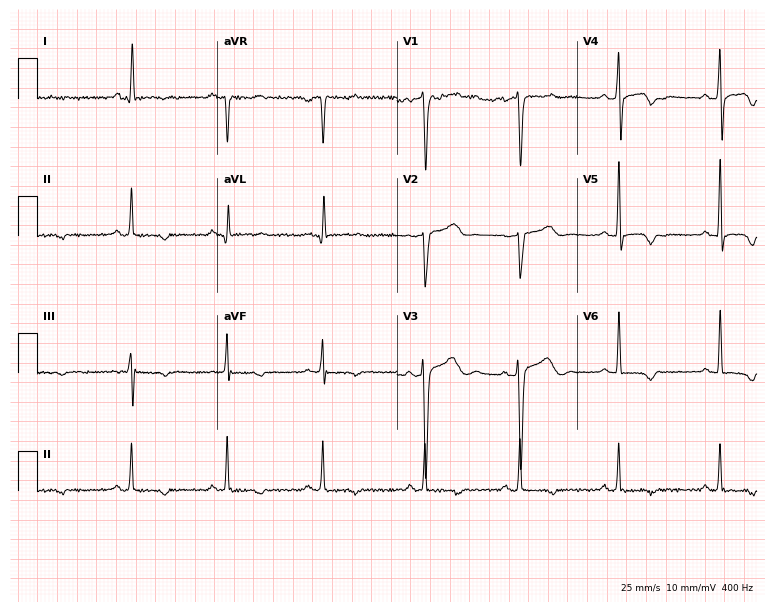
12-lead ECG from a 55-year-old woman (7.3-second recording at 400 Hz). No first-degree AV block, right bundle branch block, left bundle branch block, sinus bradycardia, atrial fibrillation or sinus tachycardia recorded for this tracing.